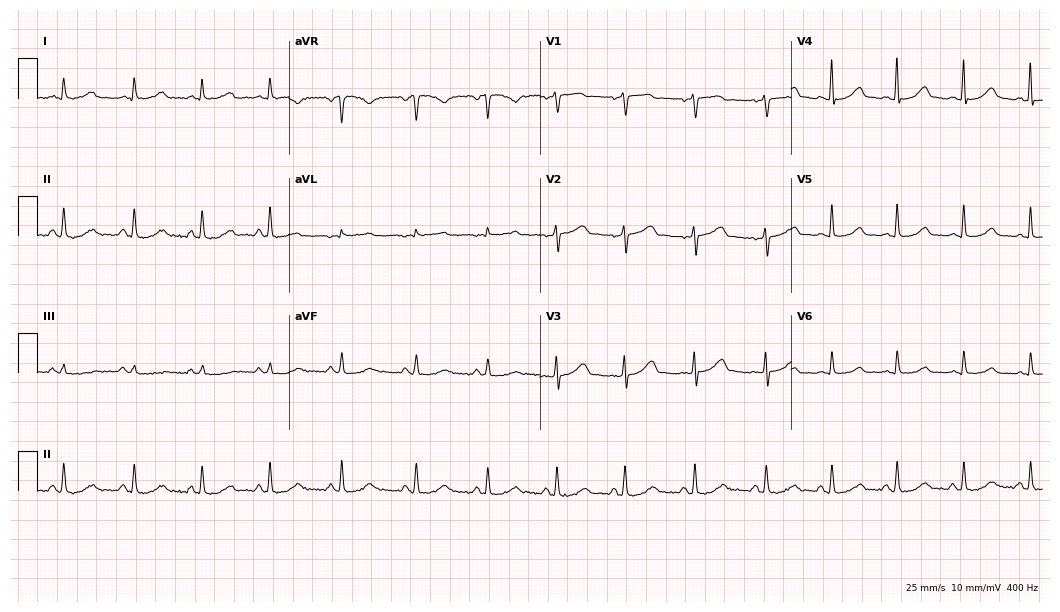
12-lead ECG (10.2-second recording at 400 Hz) from a female patient, 51 years old. Labelled as a normal ECG.